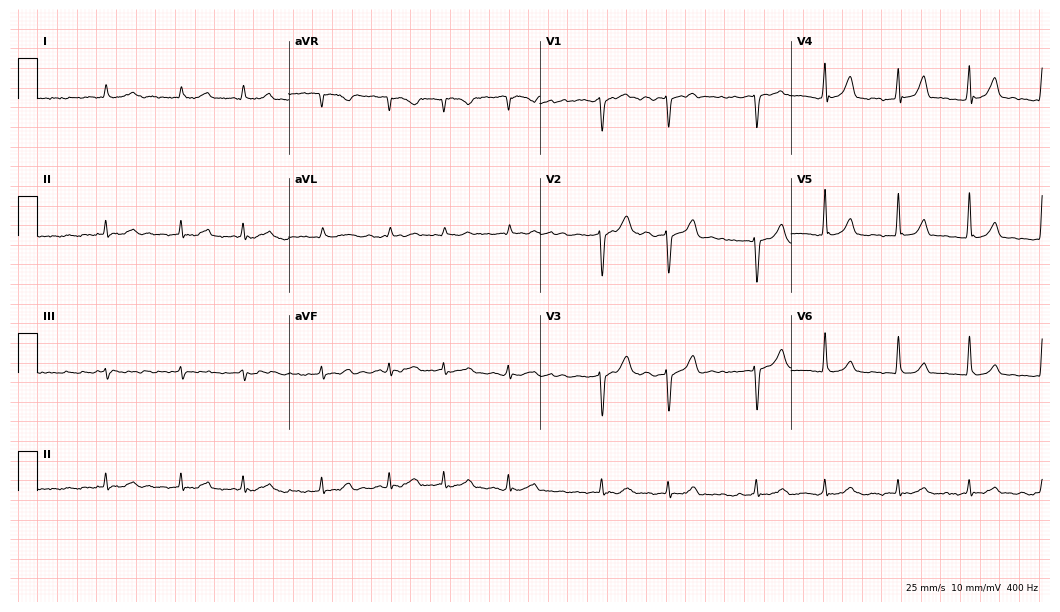
ECG — a male patient, 60 years old. Findings include atrial fibrillation.